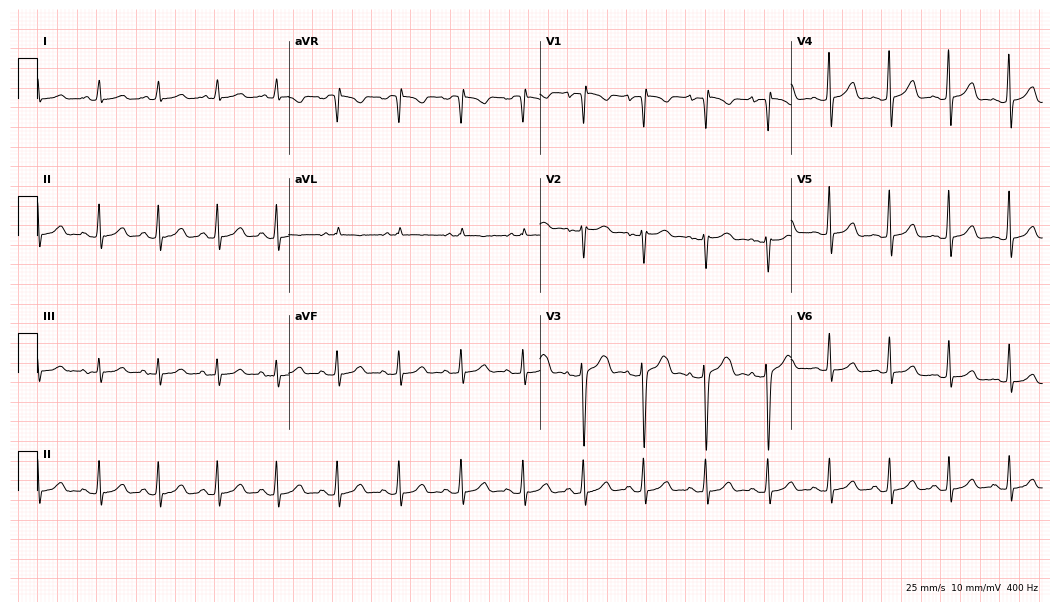
12-lead ECG from a 19-year-old female (10.2-second recording at 400 Hz). Recorded interpretation: within normal limits.